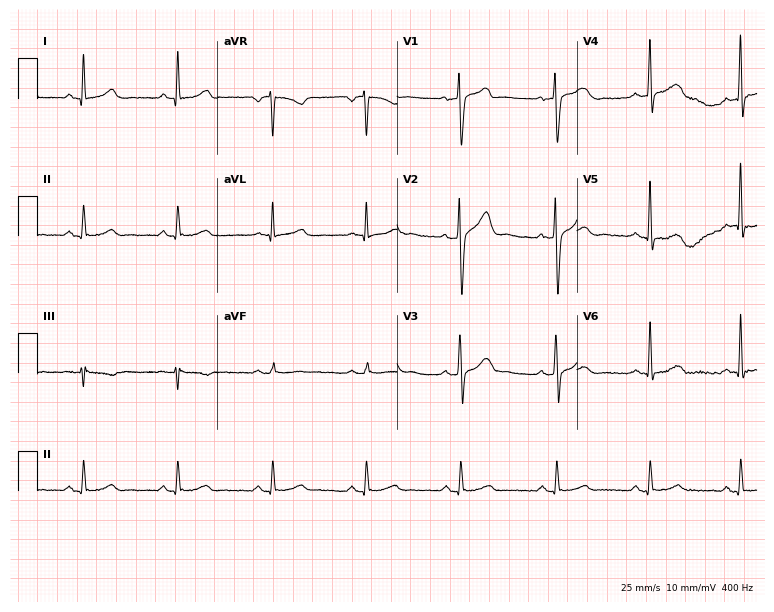
Standard 12-lead ECG recorded from a man, 46 years old. Read as a normal ECG.